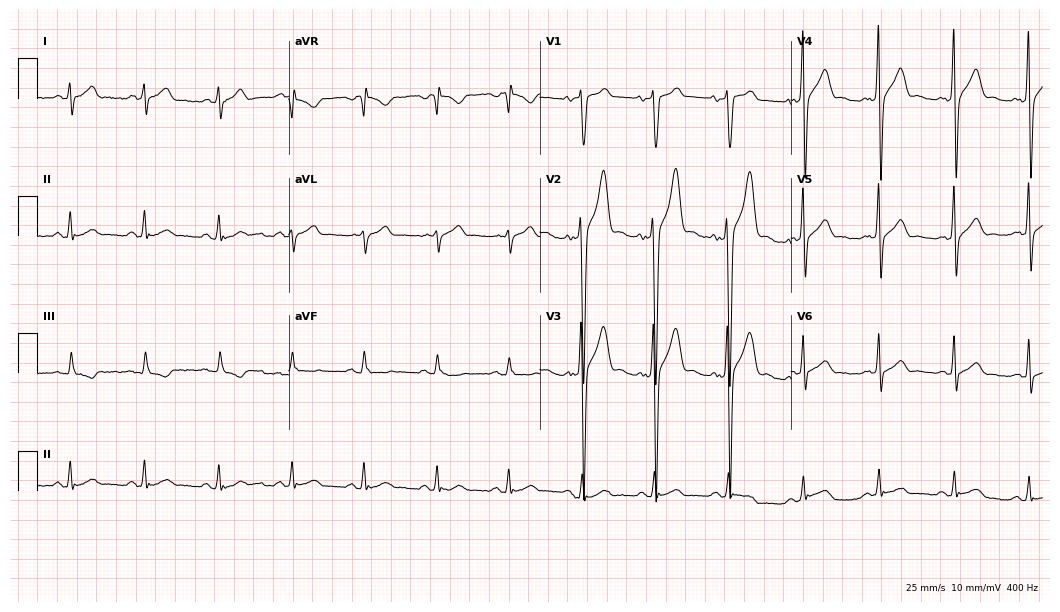
12-lead ECG (10.2-second recording at 400 Hz) from a male, 47 years old. Labelled as a normal ECG.